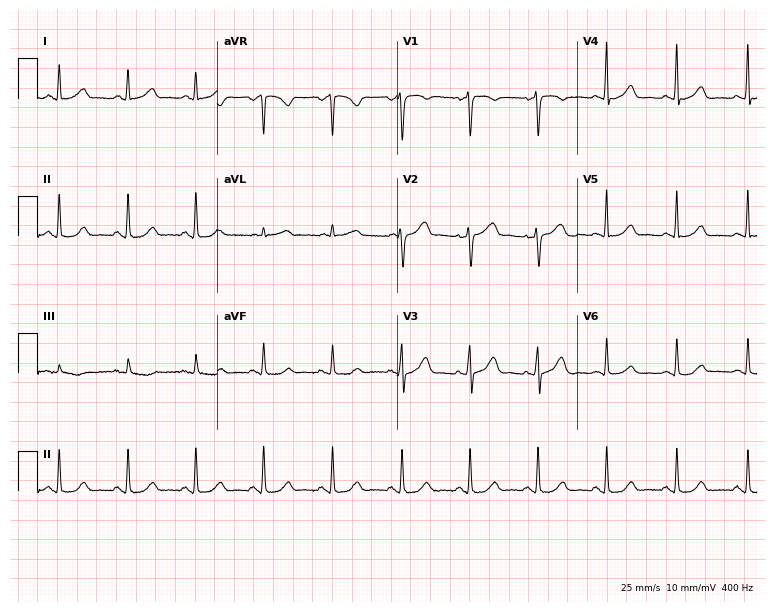
Resting 12-lead electrocardiogram. Patient: a female, 45 years old. None of these six findings is recorded: first-degree AV block, right bundle branch block, left bundle branch block, sinus bradycardia, atrial fibrillation, sinus tachycardia. Only these six findings were labelled.